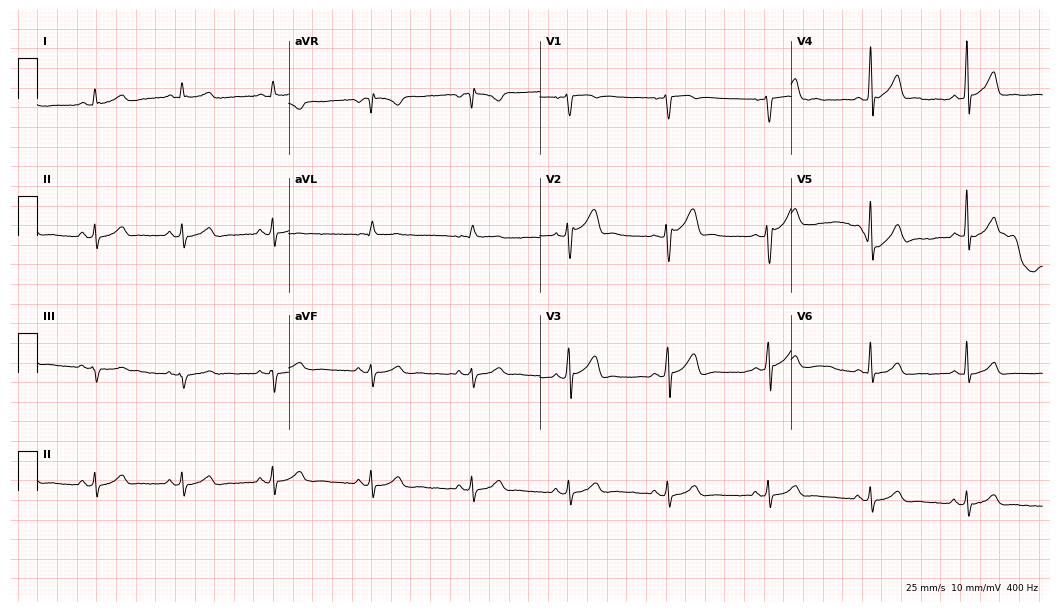
12-lead ECG from a male patient, 51 years old. Recorded interpretation: within normal limits.